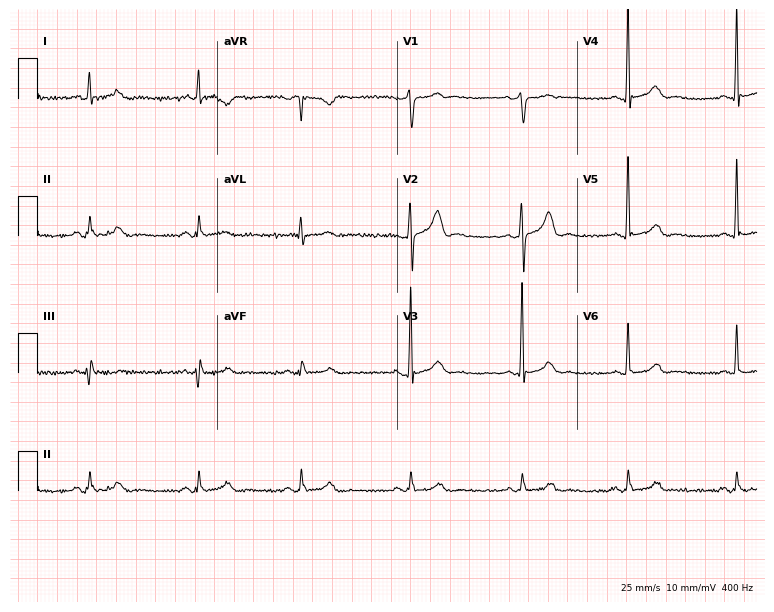
Electrocardiogram, a 46-year-old man. Overall reading on record: normal ECG.